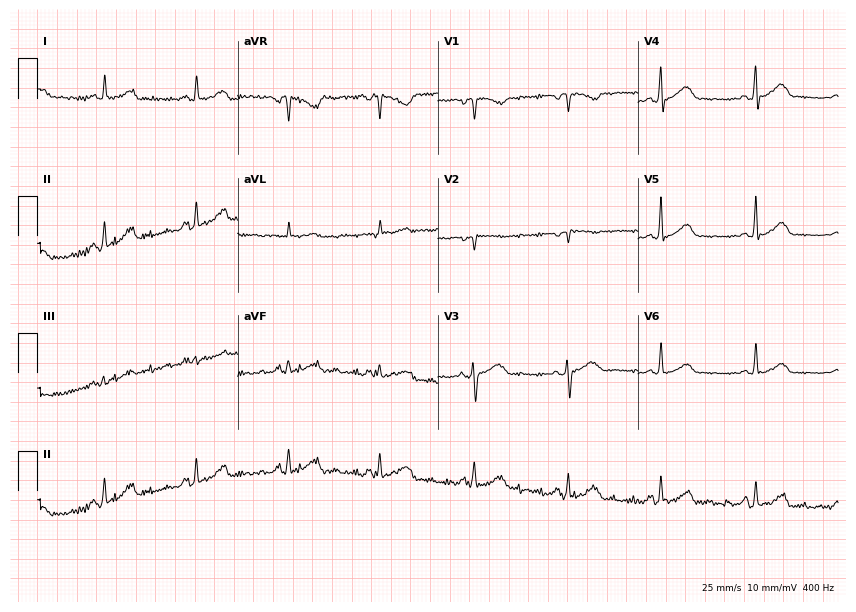
ECG (8.2-second recording at 400 Hz) — a 43-year-old female patient. Labelled as a normal ECG.